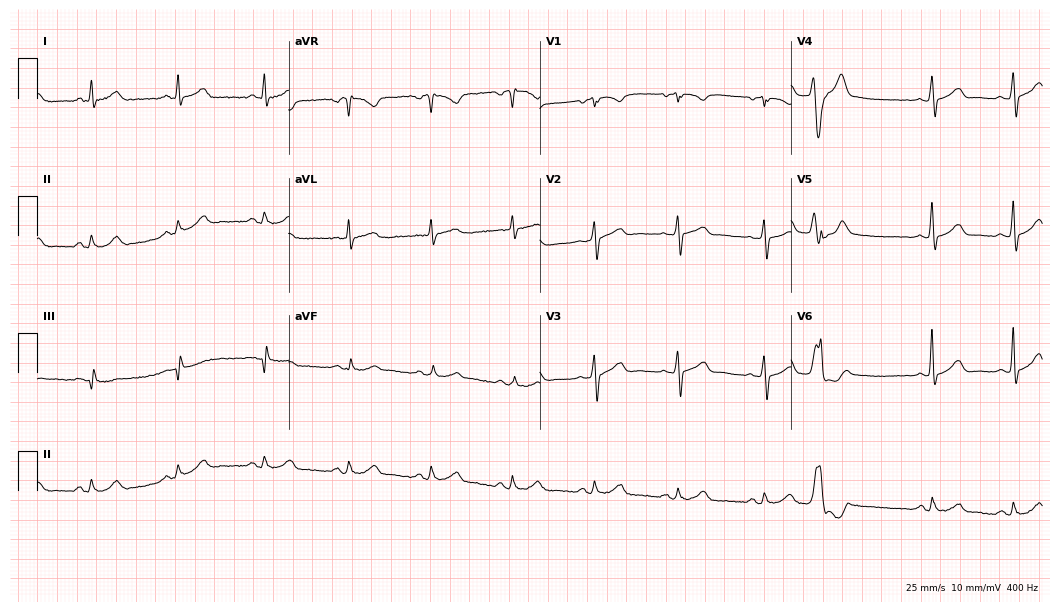
Electrocardiogram, a male, 66 years old. Overall reading on record: normal ECG.